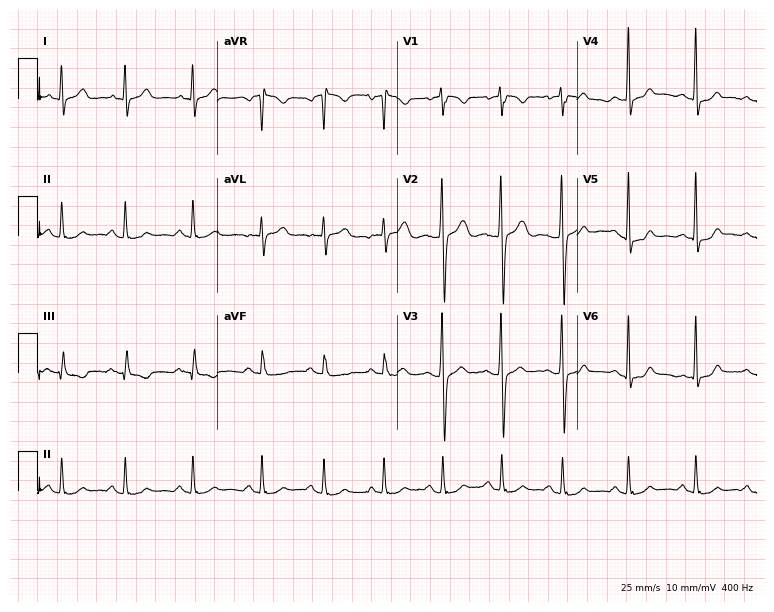
ECG — a 32-year-old woman. Labelled as a normal ECG.